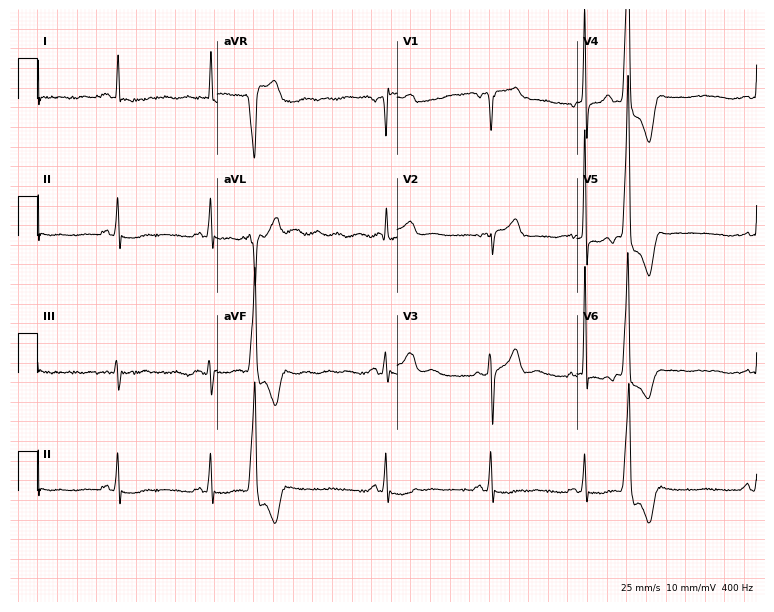
12-lead ECG (7.3-second recording at 400 Hz) from an 81-year-old male. Screened for six findings — first-degree AV block, right bundle branch block, left bundle branch block, sinus bradycardia, atrial fibrillation, sinus tachycardia — none is recorded.